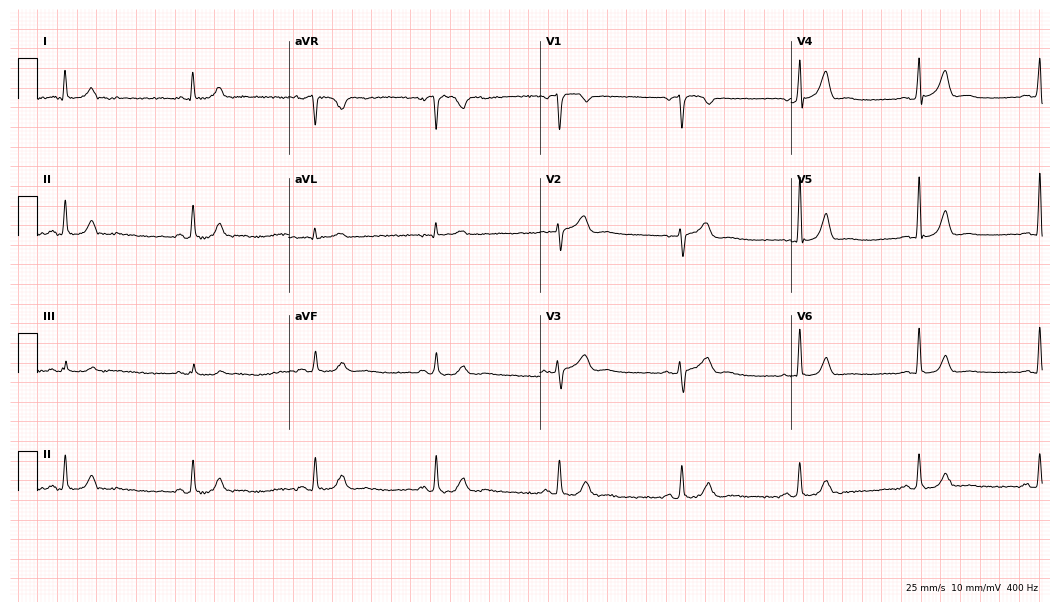
Electrocardiogram, a 54-year-old male. Interpretation includes sinus bradycardia (a sinus rate of 50 beats per minute or less).